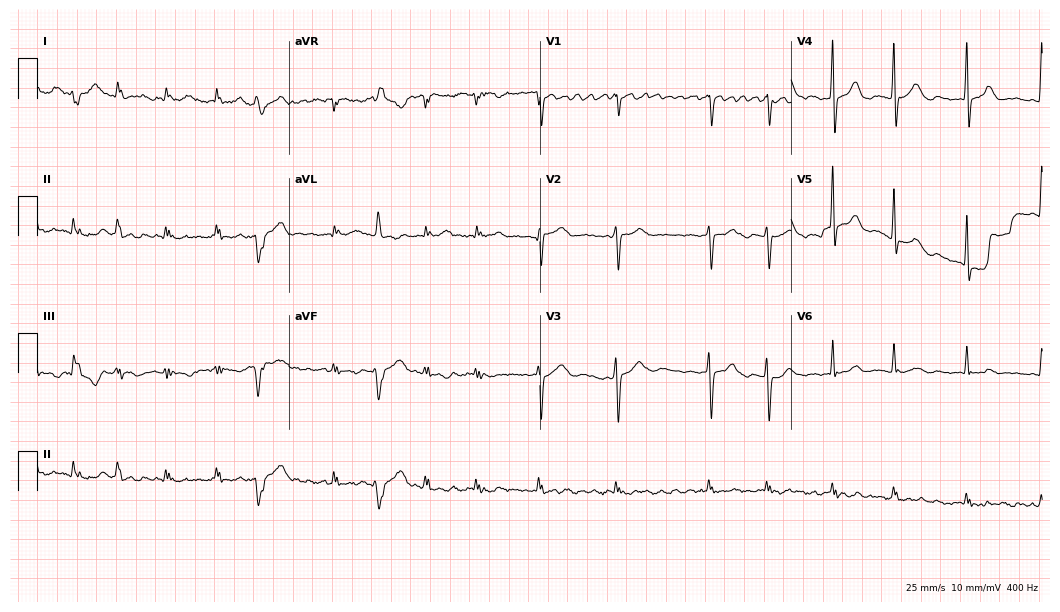
Electrocardiogram (10.2-second recording at 400 Hz), an 81-year-old male patient. Interpretation includes atrial fibrillation.